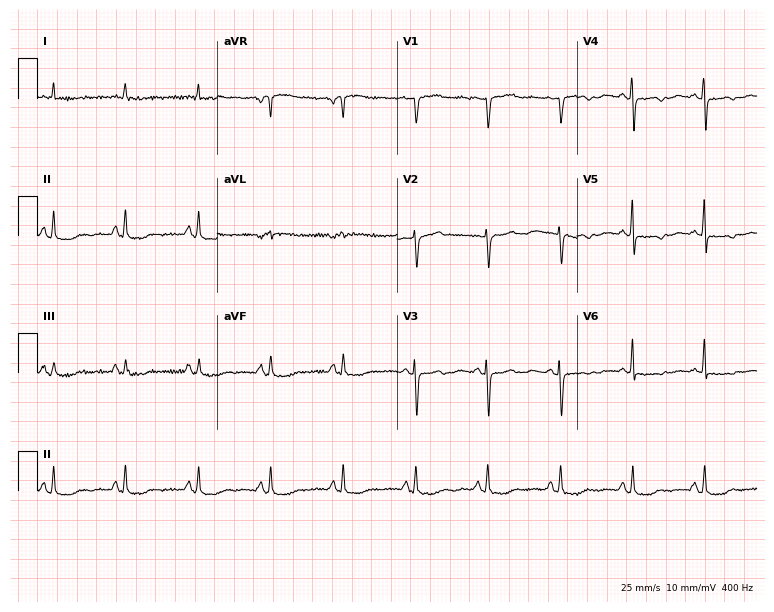
12-lead ECG from a female patient, 79 years old. No first-degree AV block, right bundle branch block (RBBB), left bundle branch block (LBBB), sinus bradycardia, atrial fibrillation (AF) or sinus tachycardia recorded for this tracing.